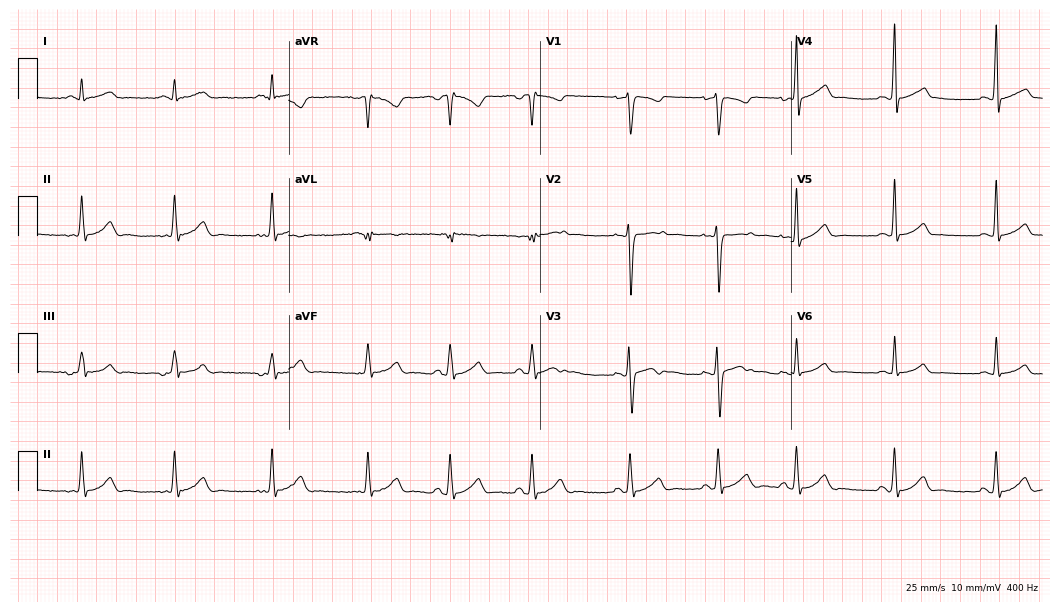
ECG (10.2-second recording at 400 Hz) — a man, 17 years old. Screened for six findings — first-degree AV block, right bundle branch block, left bundle branch block, sinus bradycardia, atrial fibrillation, sinus tachycardia — none is recorded. Findings outside these six are not listed.